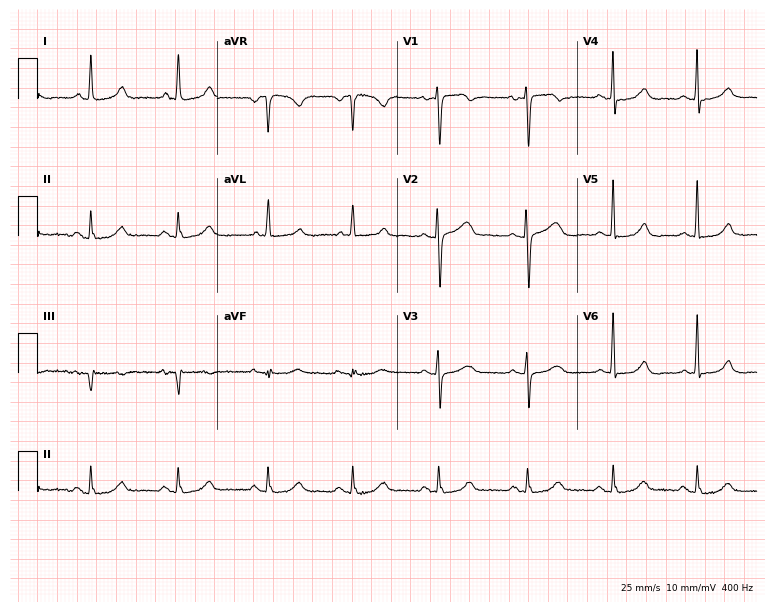
12-lead ECG (7.3-second recording at 400 Hz) from a woman, 67 years old. Screened for six findings — first-degree AV block, right bundle branch block (RBBB), left bundle branch block (LBBB), sinus bradycardia, atrial fibrillation (AF), sinus tachycardia — none is recorded.